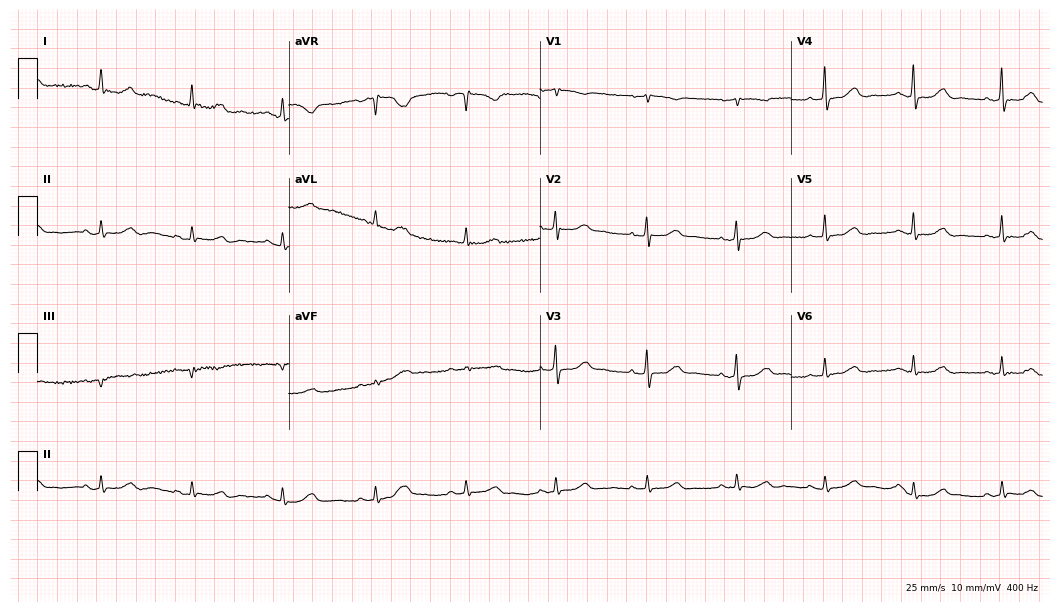
Standard 12-lead ECG recorded from a female, 80 years old. Read as a normal ECG.